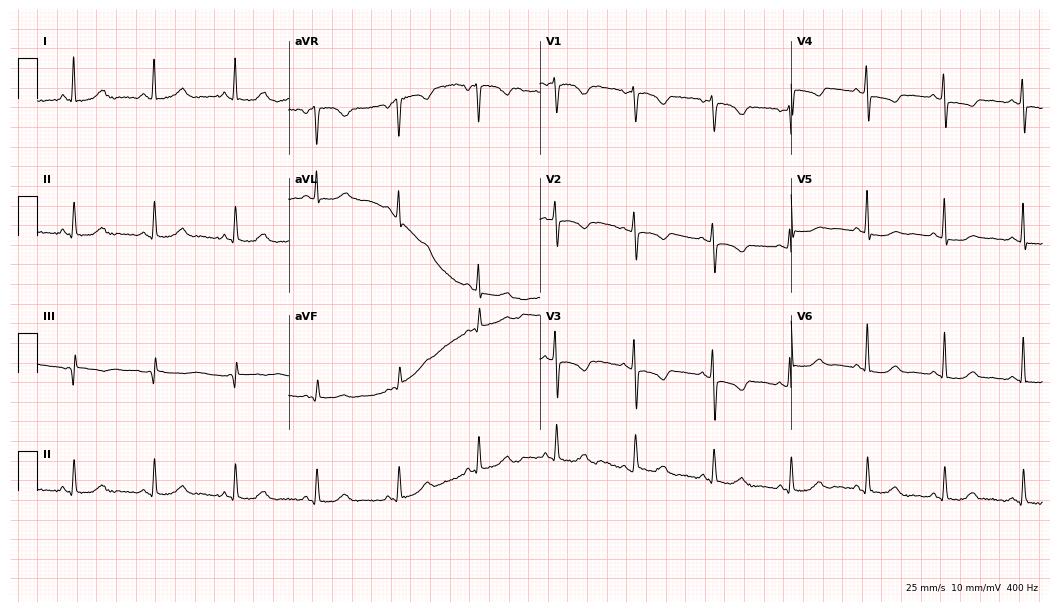
Electrocardiogram (10.2-second recording at 400 Hz), a female, 51 years old. Of the six screened findings (first-degree AV block, right bundle branch block, left bundle branch block, sinus bradycardia, atrial fibrillation, sinus tachycardia), none is recorded. Findings outside these six are not listed.